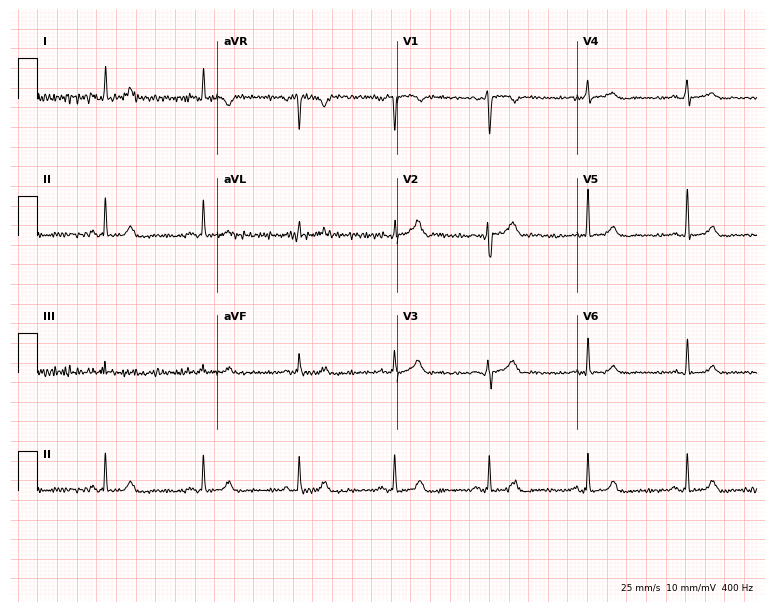
12-lead ECG from a woman, 28 years old. Screened for six findings — first-degree AV block, right bundle branch block (RBBB), left bundle branch block (LBBB), sinus bradycardia, atrial fibrillation (AF), sinus tachycardia — none is recorded. Other findings, if any, are not listed.